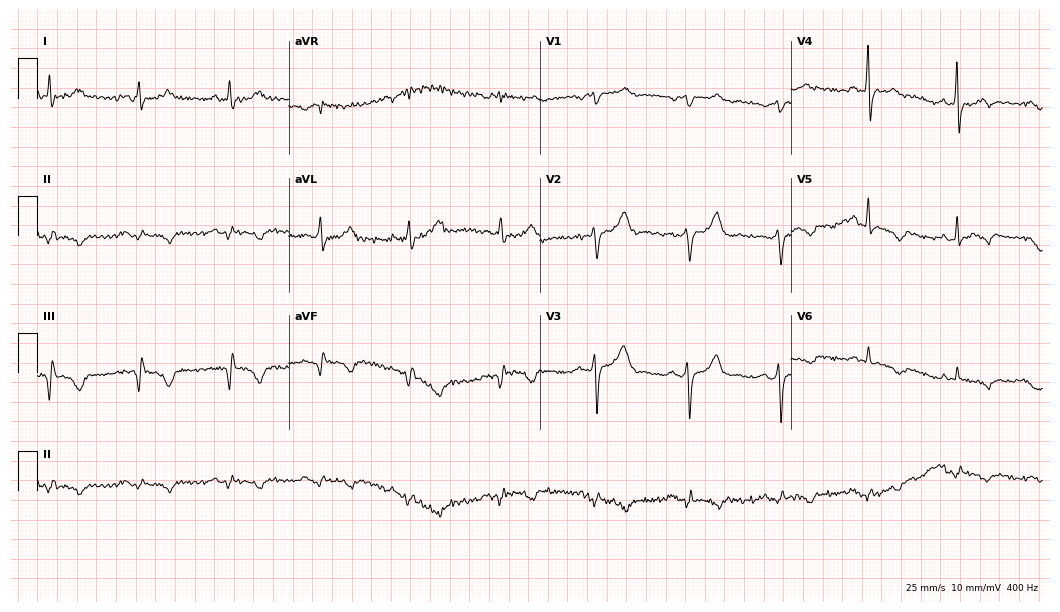
ECG — a 50-year-old male patient. Screened for six findings — first-degree AV block, right bundle branch block, left bundle branch block, sinus bradycardia, atrial fibrillation, sinus tachycardia — none is recorded. Findings outside these six are not listed.